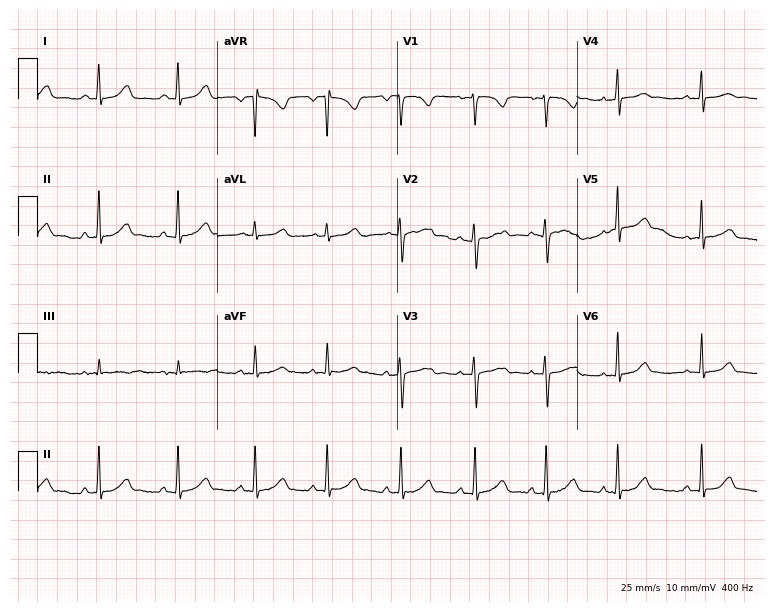
ECG — a female, 18 years old. Screened for six findings — first-degree AV block, right bundle branch block, left bundle branch block, sinus bradycardia, atrial fibrillation, sinus tachycardia — none is recorded. Only these six findings were labelled.